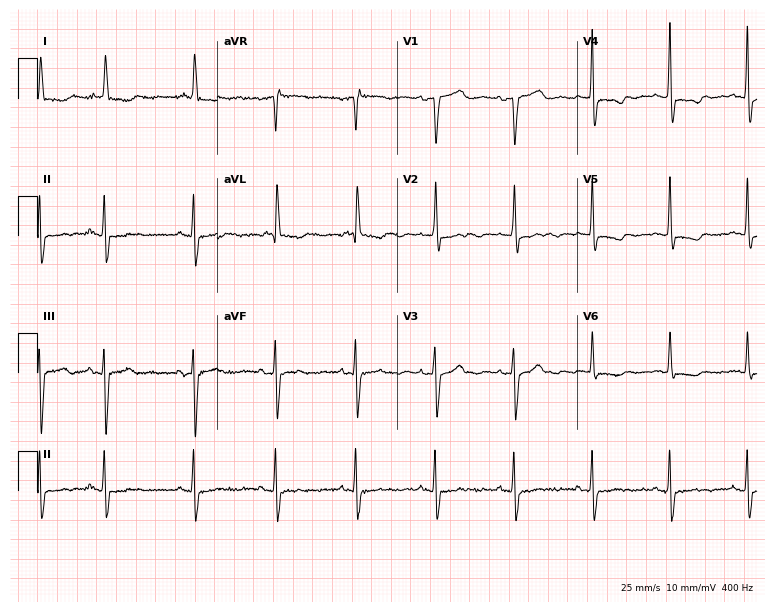
12-lead ECG from a female, 78 years old (7.3-second recording at 400 Hz). No first-degree AV block, right bundle branch block (RBBB), left bundle branch block (LBBB), sinus bradycardia, atrial fibrillation (AF) or sinus tachycardia recorded for this tracing.